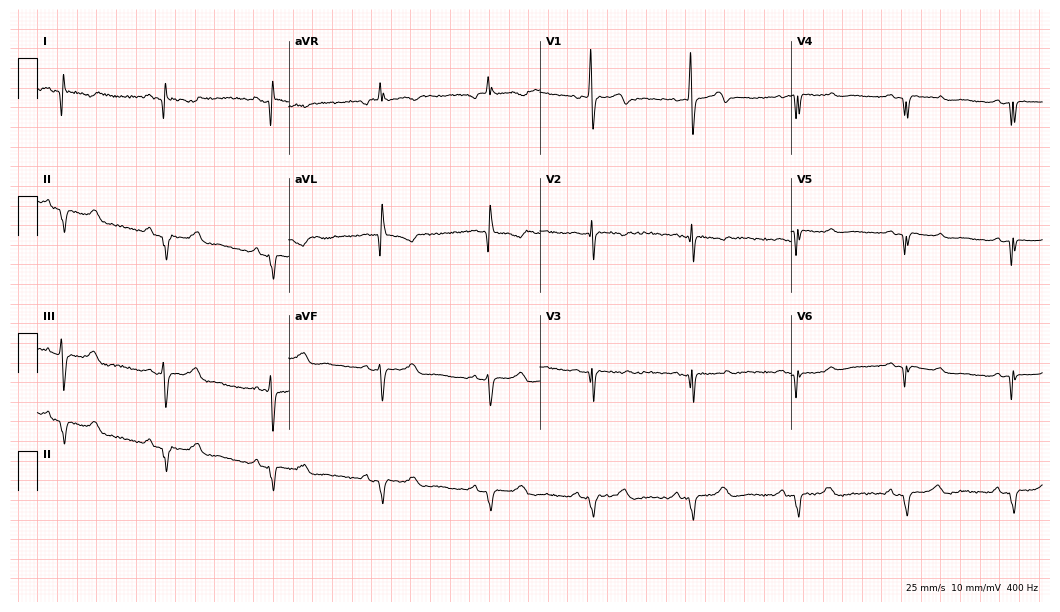
12-lead ECG from a woman, 75 years old. No first-degree AV block, right bundle branch block (RBBB), left bundle branch block (LBBB), sinus bradycardia, atrial fibrillation (AF) or sinus tachycardia recorded for this tracing. Findings outside these six are not listed.